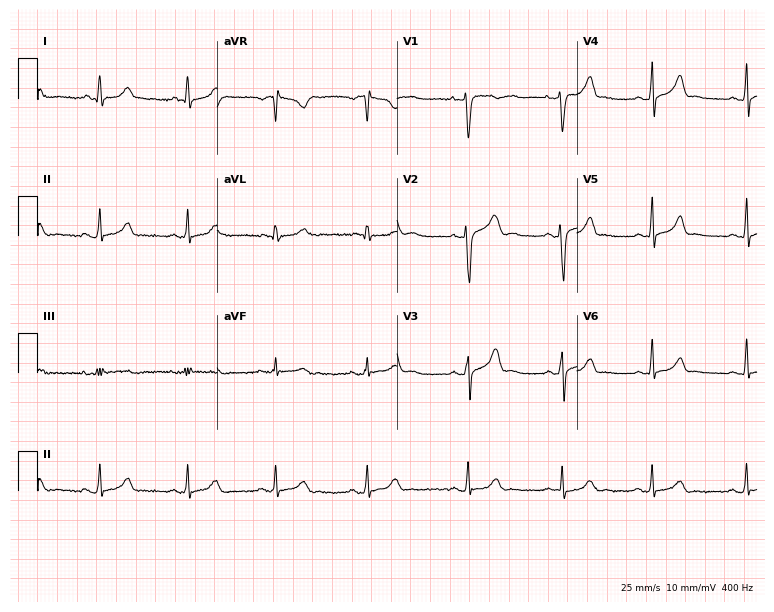
Standard 12-lead ECG recorded from a female, 18 years old. Read as a normal ECG.